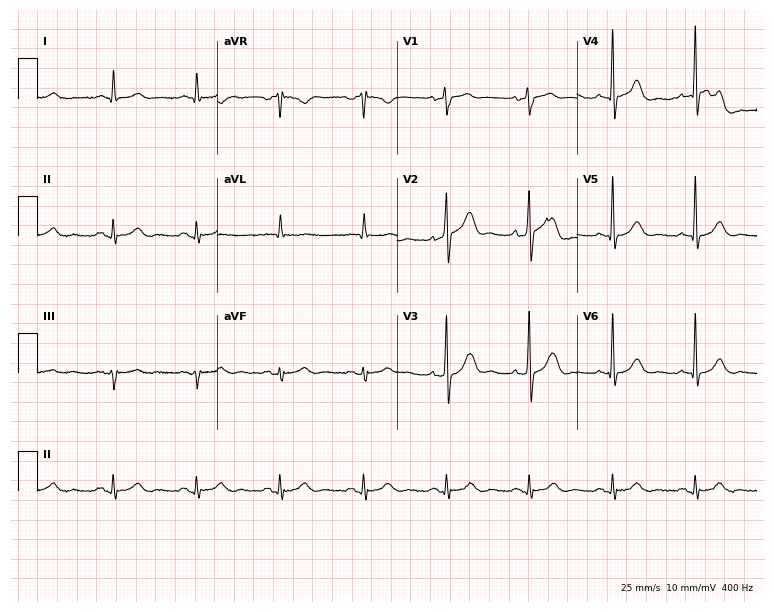
ECG — a male patient, 79 years old. Labelled as a normal ECG.